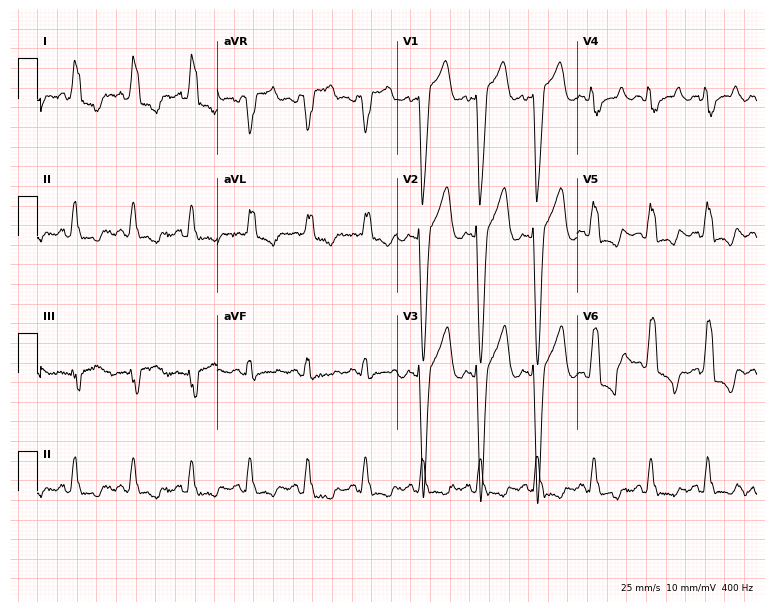
Electrocardiogram, a man, 53 years old. Interpretation includes left bundle branch block.